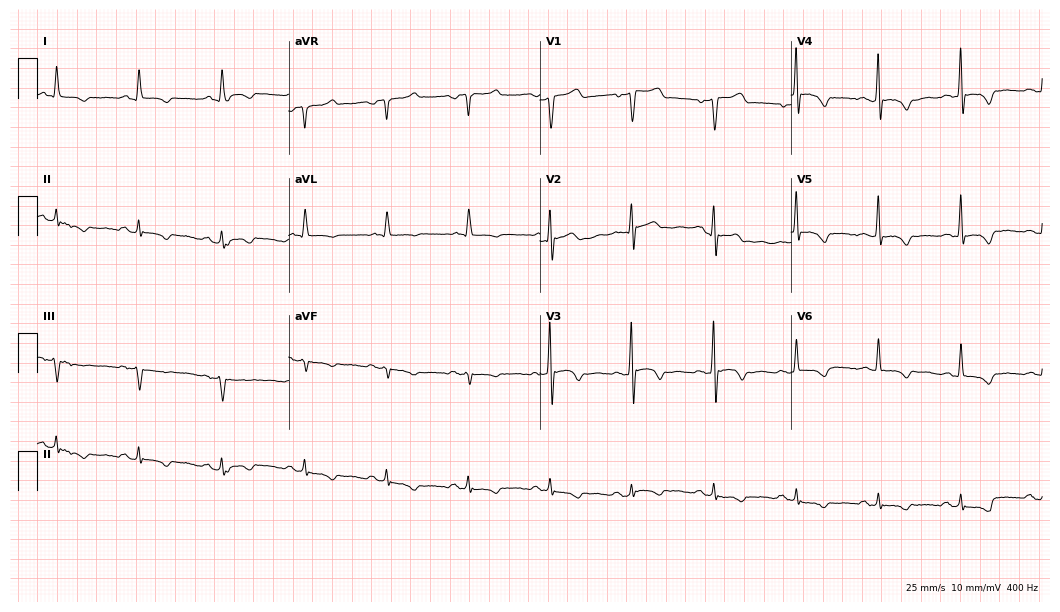
12-lead ECG (10.2-second recording at 400 Hz) from a 47-year-old male. Screened for six findings — first-degree AV block, right bundle branch block, left bundle branch block, sinus bradycardia, atrial fibrillation, sinus tachycardia — none is recorded.